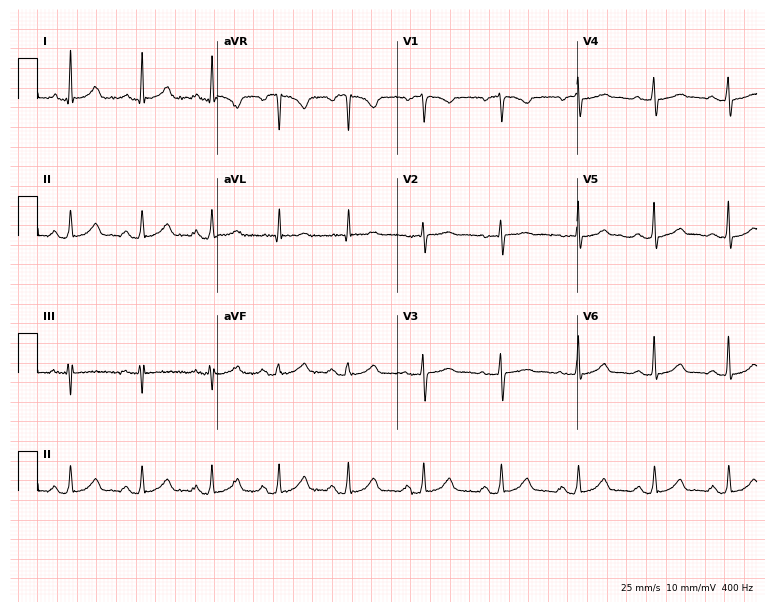
Electrocardiogram, a 43-year-old female. Of the six screened findings (first-degree AV block, right bundle branch block, left bundle branch block, sinus bradycardia, atrial fibrillation, sinus tachycardia), none is recorded.